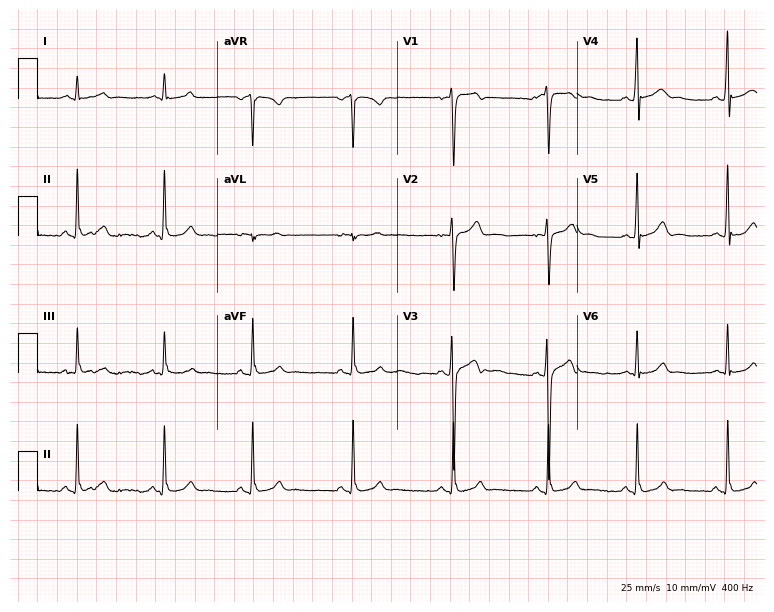
12-lead ECG from a 17-year-old male. No first-degree AV block, right bundle branch block, left bundle branch block, sinus bradycardia, atrial fibrillation or sinus tachycardia recorded for this tracing.